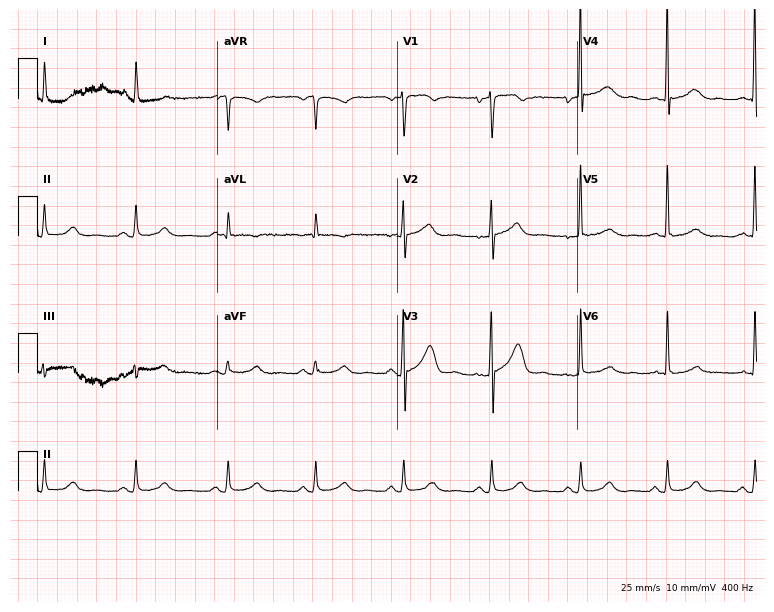
Electrocardiogram, a woman, 66 years old. Overall reading on record: normal ECG.